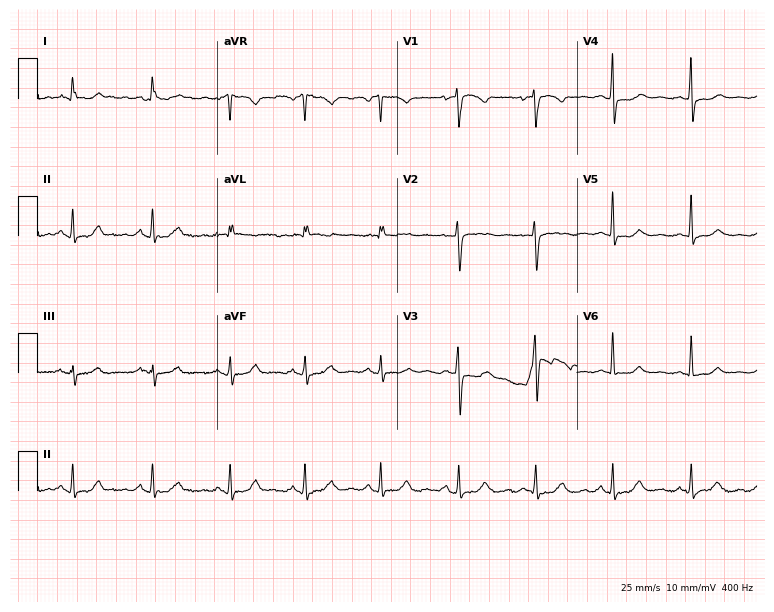
12-lead ECG (7.3-second recording at 400 Hz) from a 57-year-old woman. Labelled as a normal ECG.